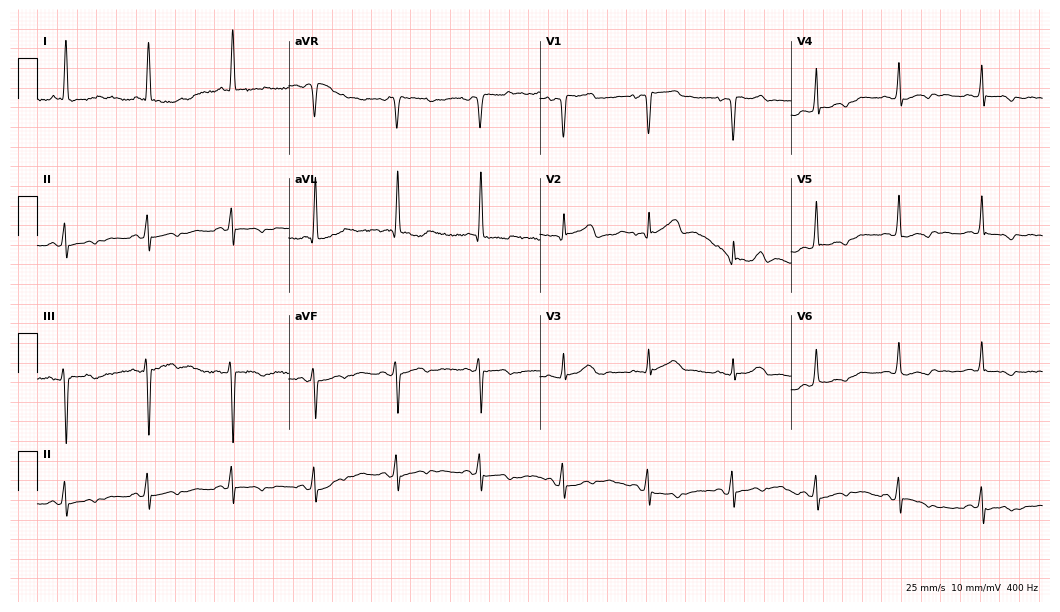
Standard 12-lead ECG recorded from a 69-year-old female patient (10.2-second recording at 400 Hz). None of these six findings is recorded: first-degree AV block, right bundle branch block, left bundle branch block, sinus bradycardia, atrial fibrillation, sinus tachycardia.